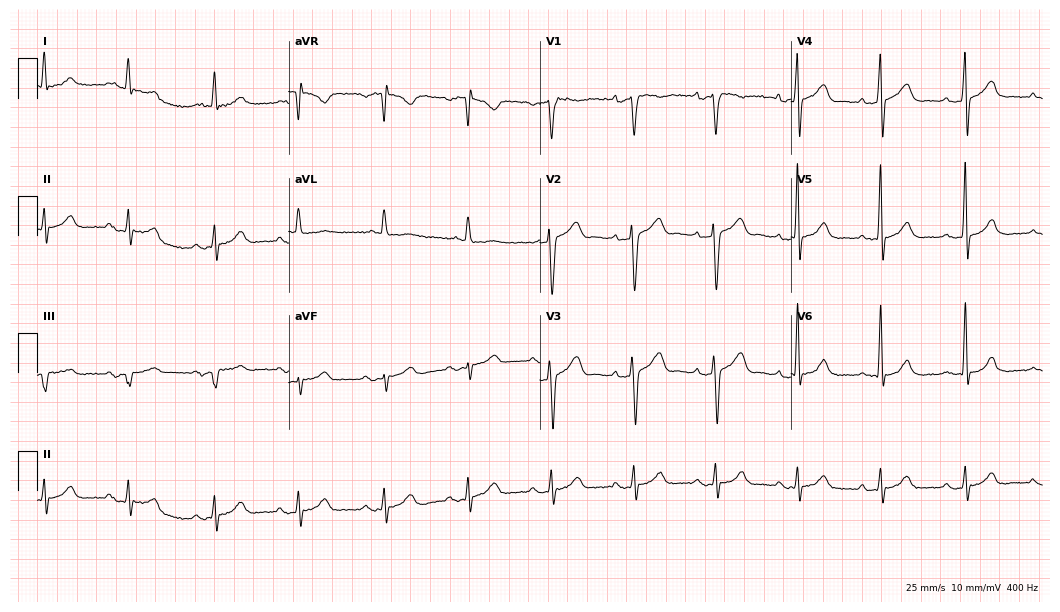
12-lead ECG from a male patient, 39 years old. Labelled as a normal ECG.